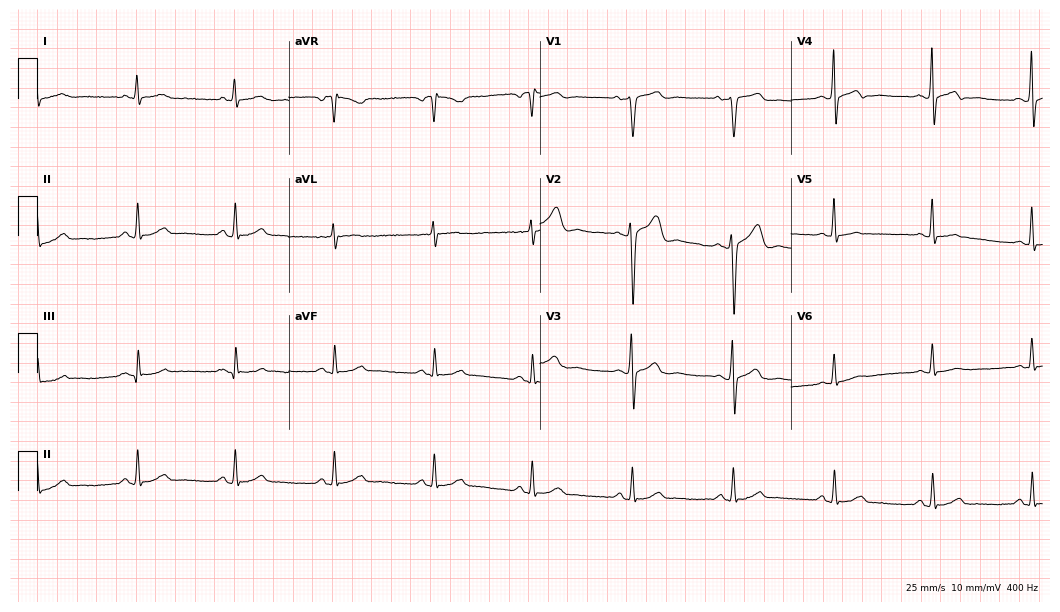
Standard 12-lead ECG recorded from a male, 53 years old. None of these six findings is recorded: first-degree AV block, right bundle branch block, left bundle branch block, sinus bradycardia, atrial fibrillation, sinus tachycardia.